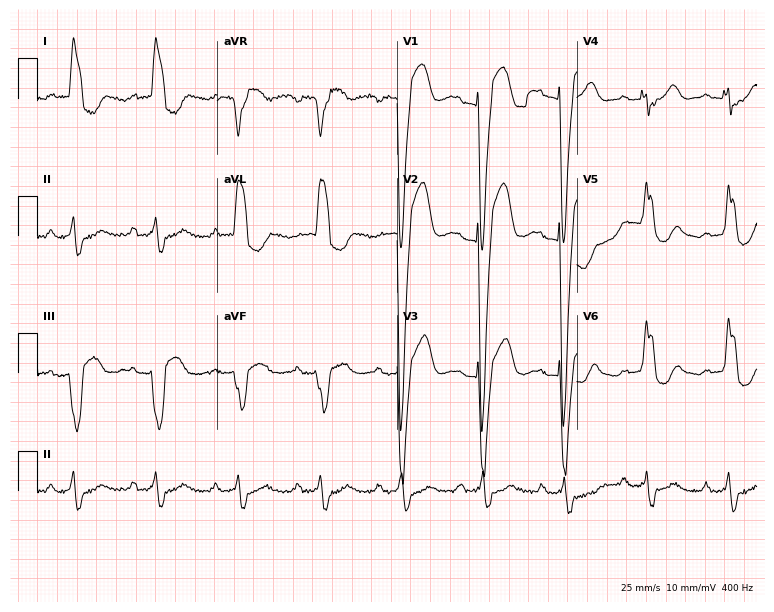
ECG — a female patient, 83 years old. Findings include left bundle branch block (LBBB).